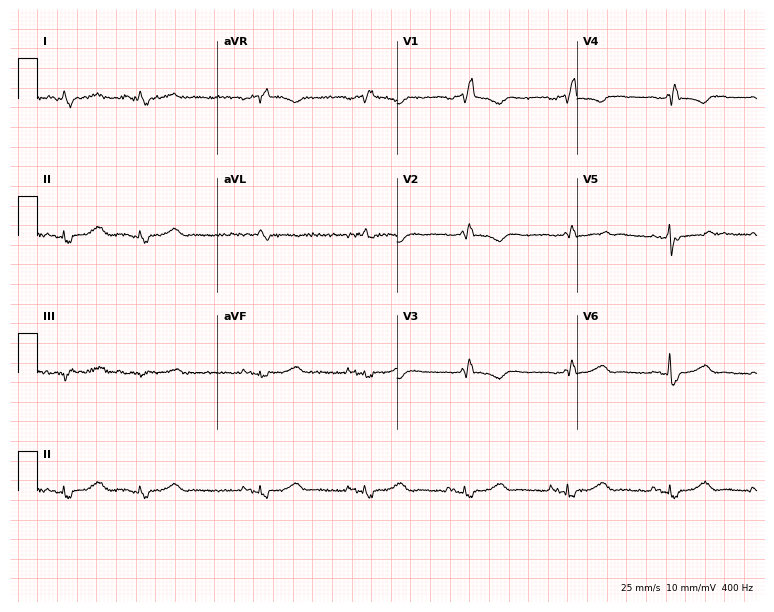
12-lead ECG from a woman, 79 years old (7.3-second recording at 400 Hz). No first-degree AV block, right bundle branch block (RBBB), left bundle branch block (LBBB), sinus bradycardia, atrial fibrillation (AF) or sinus tachycardia recorded for this tracing.